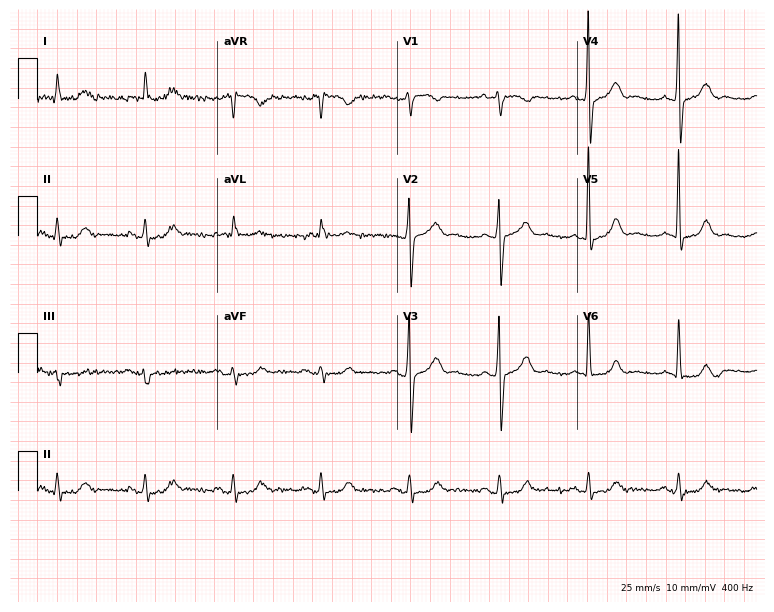
12-lead ECG from a male patient, 77 years old. Screened for six findings — first-degree AV block, right bundle branch block, left bundle branch block, sinus bradycardia, atrial fibrillation, sinus tachycardia — none is recorded. Other findings, if any, are not listed.